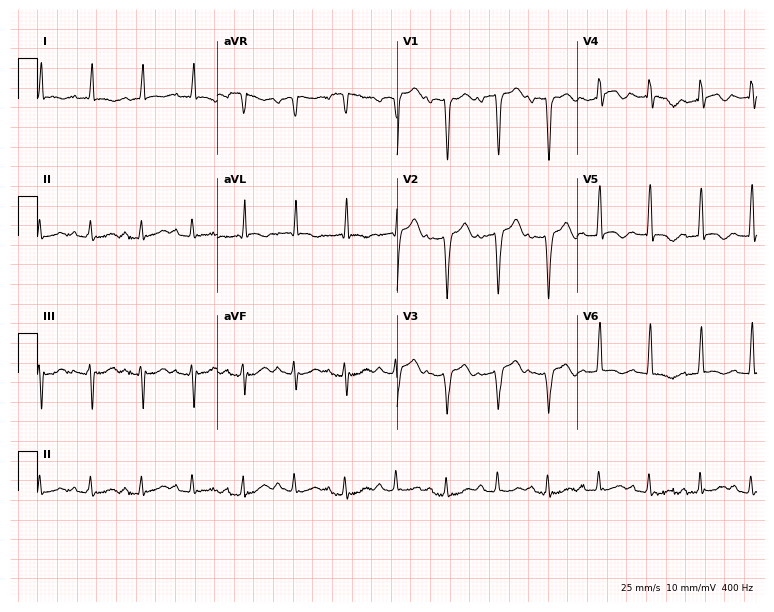
Standard 12-lead ECG recorded from a female patient, 84 years old (7.3-second recording at 400 Hz). The tracing shows sinus tachycardia (a sinus rate of 100 beats per minute or more).